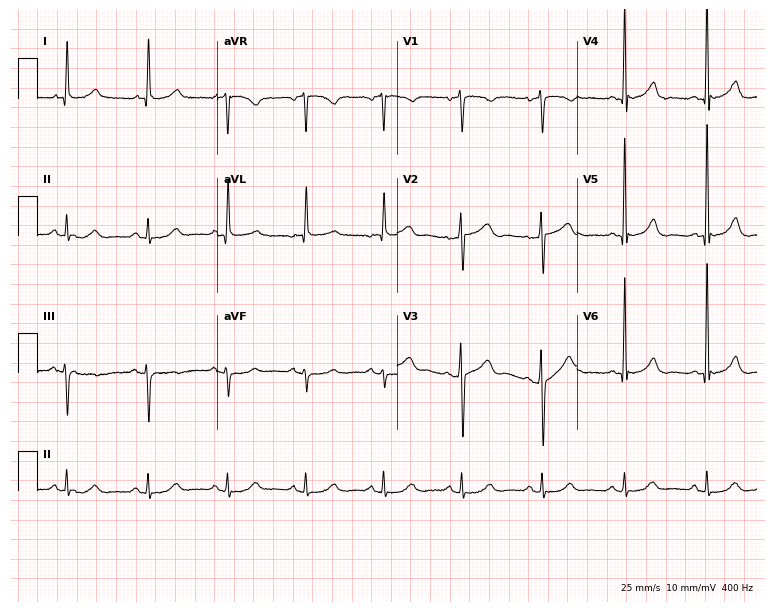
ECG — a male, 80 years old. Labelled as a normal ECG.